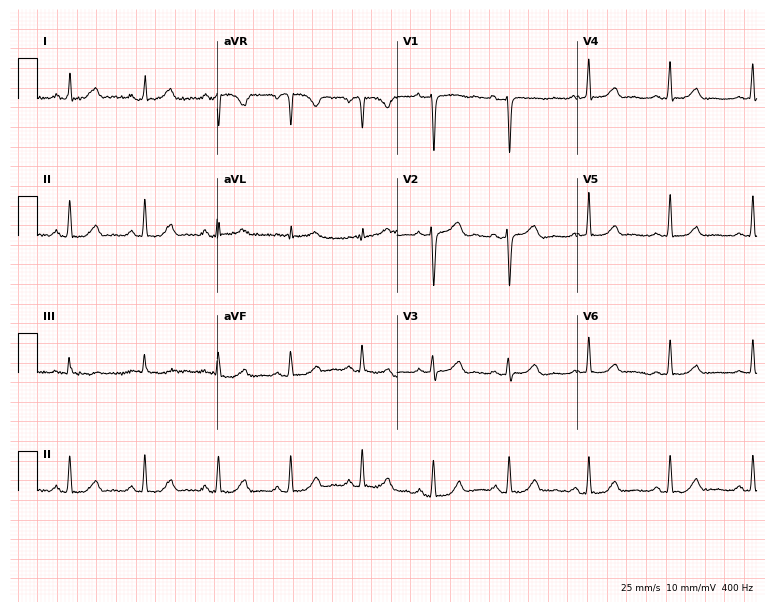
Standard 12-lead ECG recorded from a 42-year-old female (7.3-second recording at 400 Hz). Read as a normal ECG.